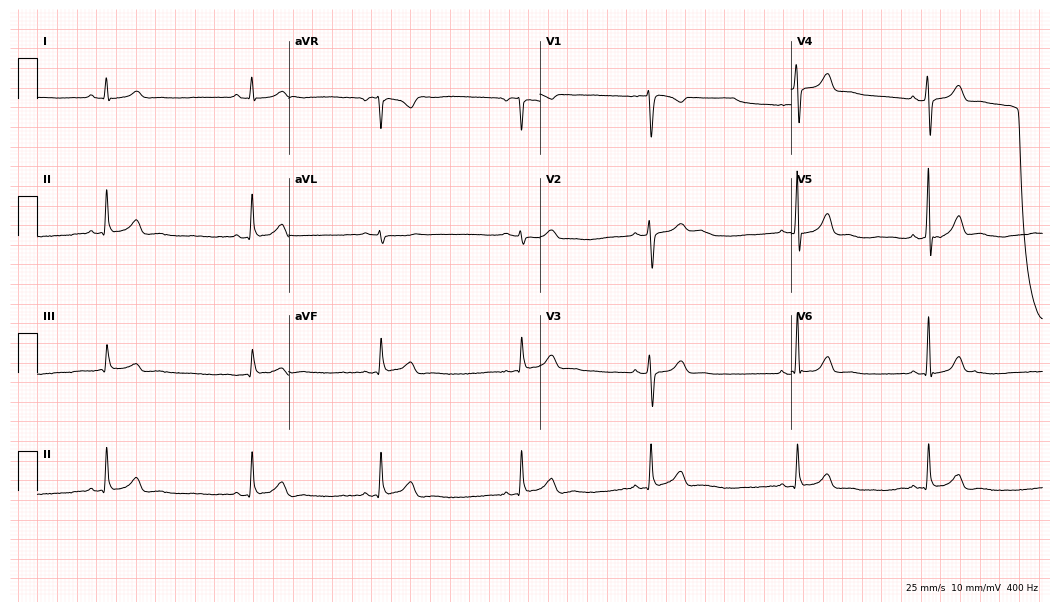
12-lead ECG from a 47-year-old man (10.2-second recording at 400 Hz). Shows sinus bradycardia (a sinus rate of 50 beats per minute or less).